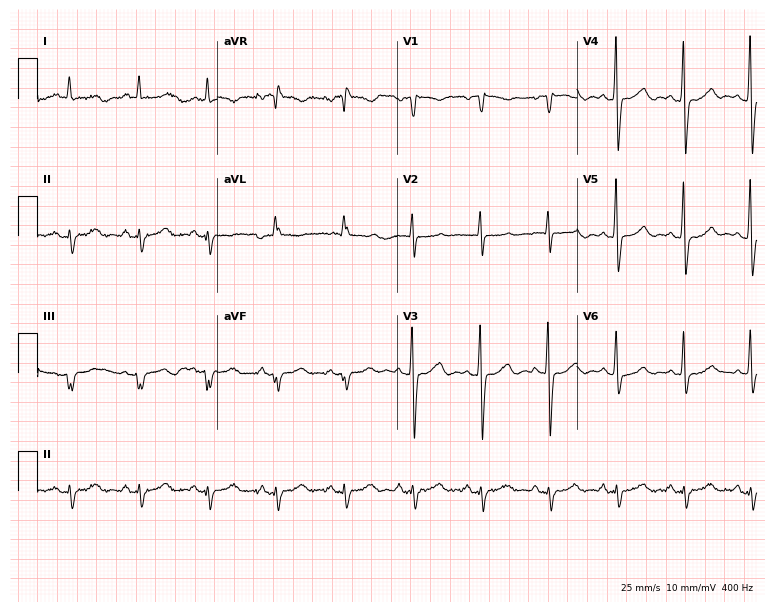
Resting 12-lead electrocardiogram (7.3-second recording at 400 Hz). Patient: a female, 69 years old. None of these six findings is recorded: first-degree AV block, right bundle branch block, left bundle branch block, sinus bradycardia, atrial fibrillation, sinus tachycardia. Only these six findings were labelled.